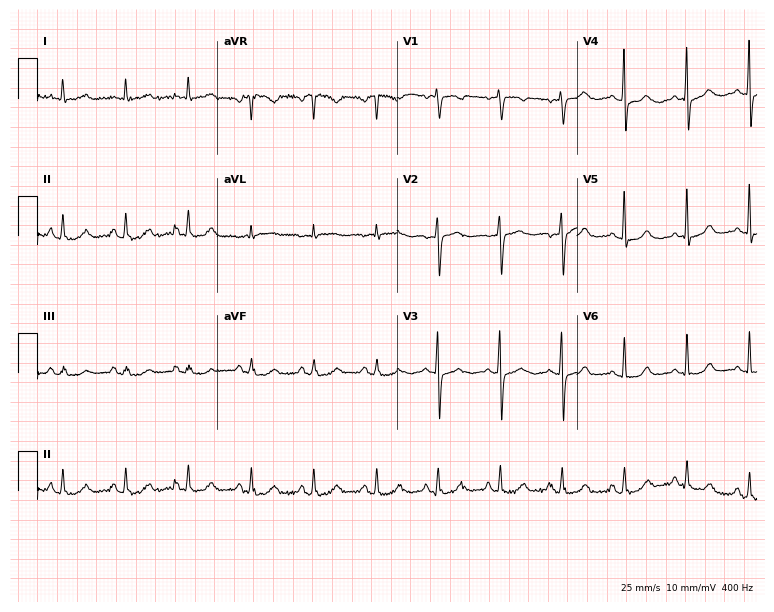
12-lead ECG (7.3-second recording at 400 Hz) from a 73-year-old female. Labelled as a normal ECG.